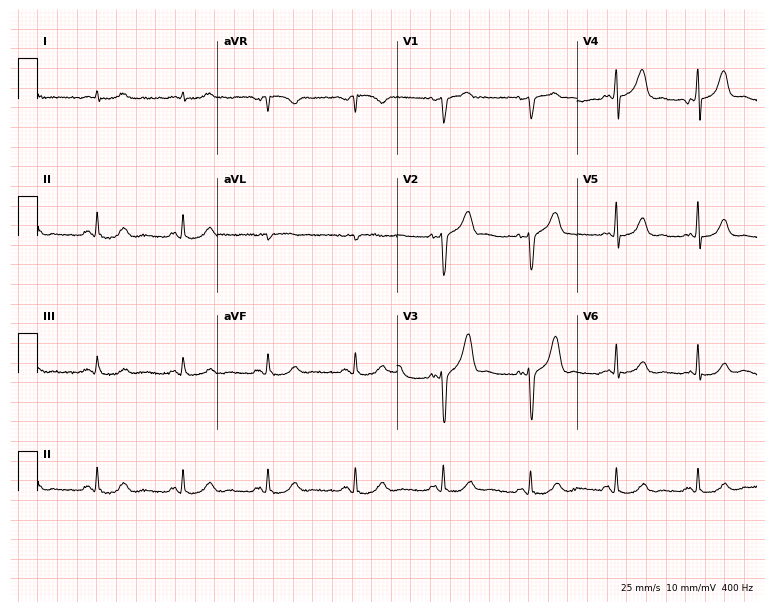
12-lead ECG from a male patient, 60 years old. Screened for six findings — first-degree AV block, right bundle branch block (RBBB), left bundle branch block (LBBB), sinus bradycardia, atrial fibrillation (AF), sinus tachycardia — none is recorded. Other findings, if any, are not listed.